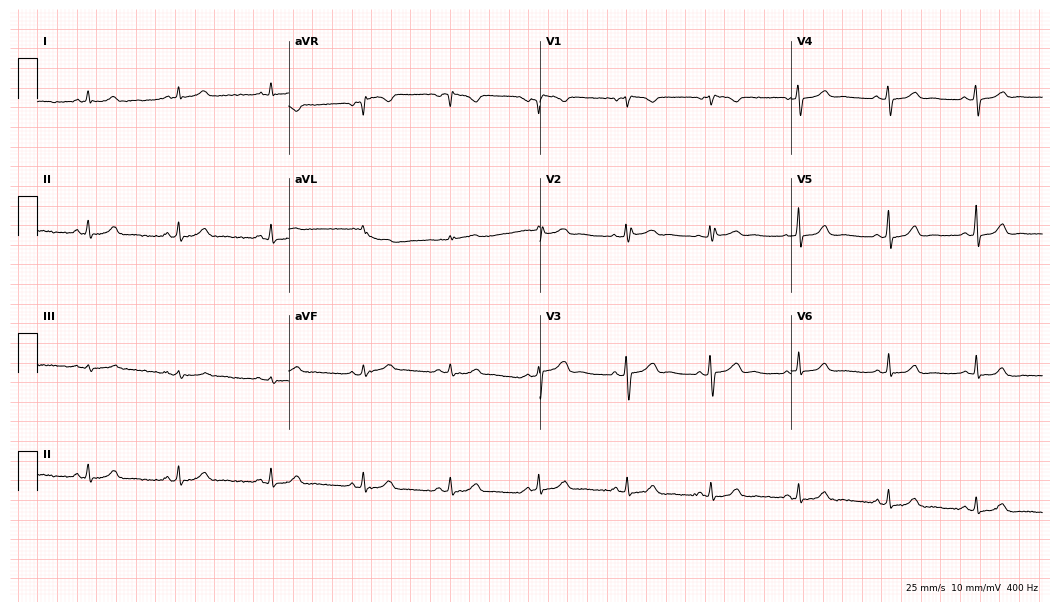
12-lead ECG from a 40-year-old woman. Labelled as a normal ECG.